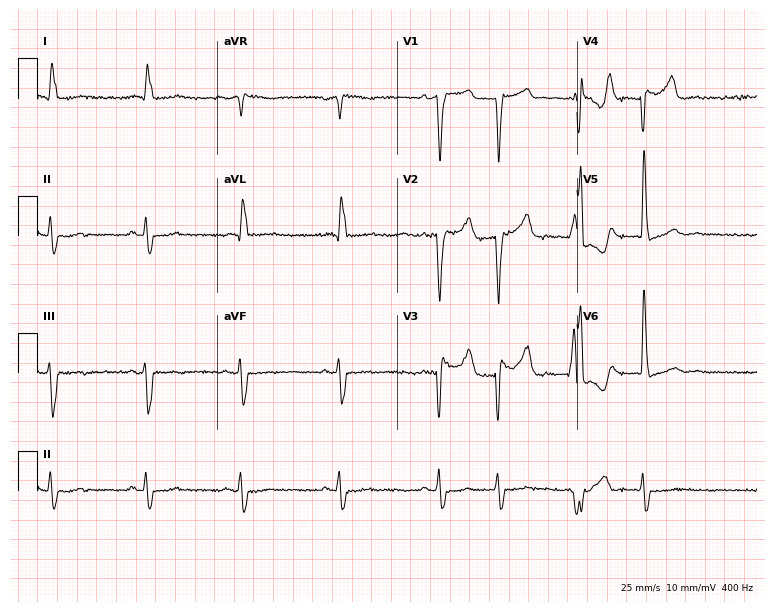
12-lead ECG (7.3-second recording at 400 Hz) from a 76-year-old man. Findings include left bundle branch block.